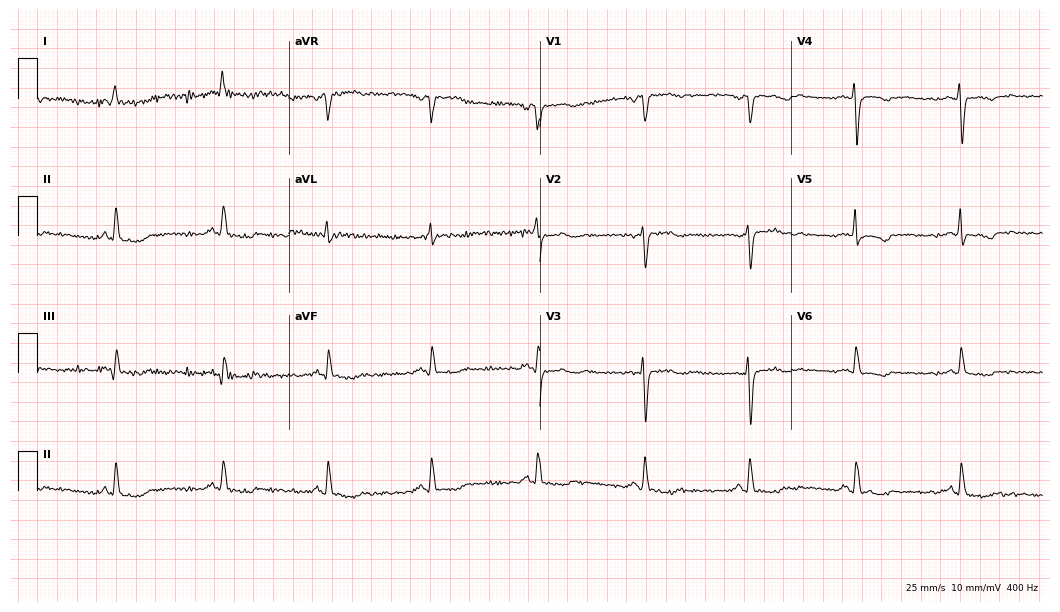
12-lead ECG from a 60-year-old female patient (10.2-second recording at 400 Hz). No first-degree AV block, right bundle branch block (RBBB), left bundle branch block (LBBB), sinus bradycardia, atrial fibrillation (AF) or sinus tachycardia recorded for this tracing. Only these six findings were labelled.